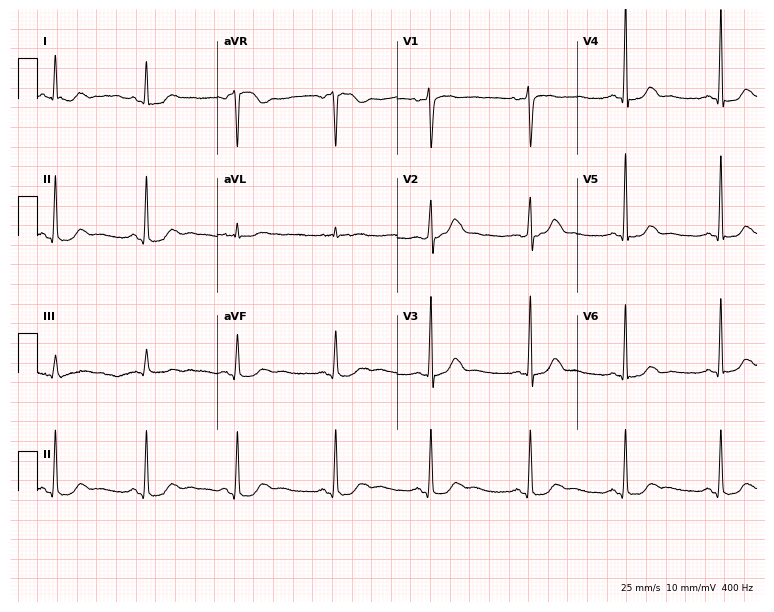
12-lead ECG (7.3-second recording at 400 Hz) from a female patient, 49 years old. Labelled as a normal ECG.